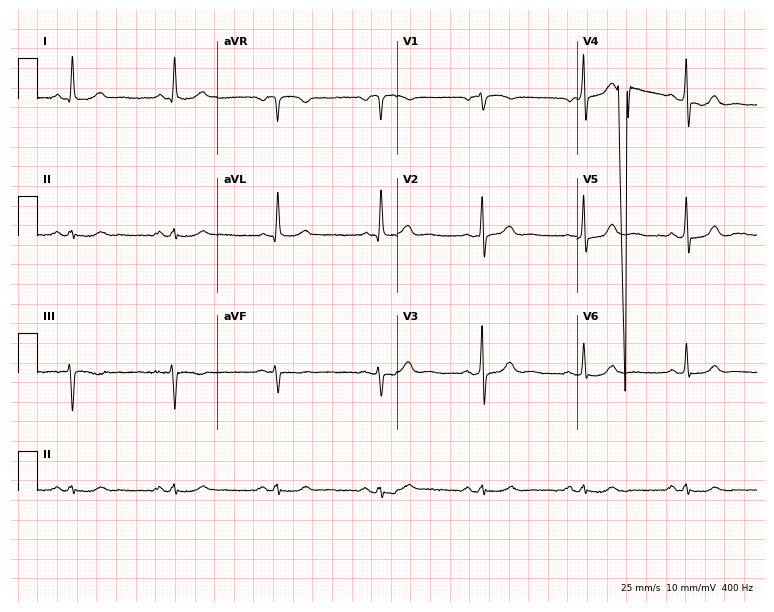
12-lead ECG from an 80-year-old male patient (7.3-second recording at 400 Hz). No first-degree AV block, right bundle branch block, left bundle branch block, sinus bradycardia, atrial fibrillation or sinus tachycardia recorded for this tracing. Other findings, if any, are not listed.